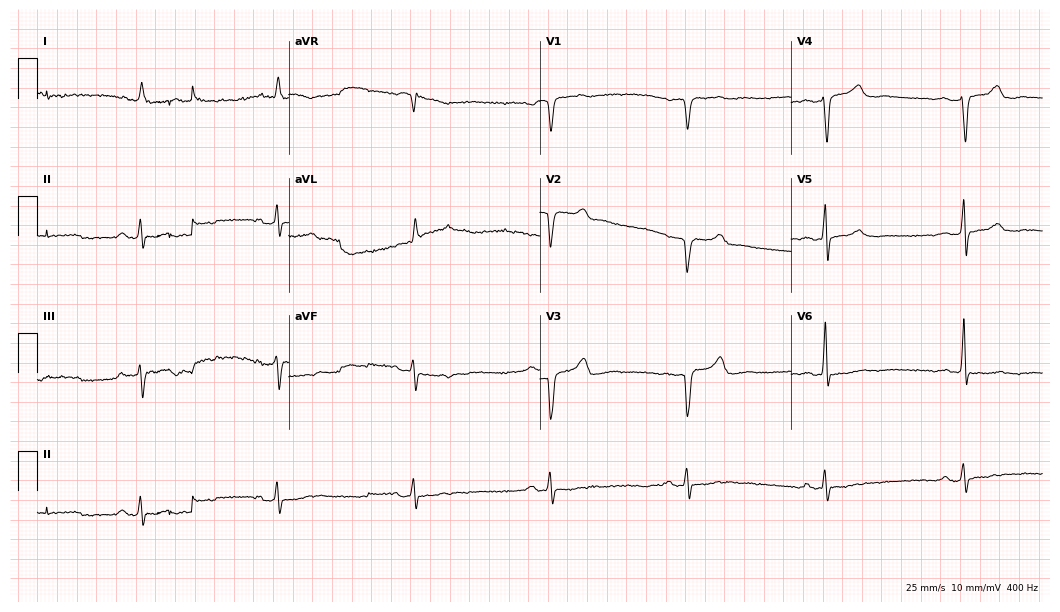
12-lead ECG from a male patient, 83 years old. No first-degree AV block, right bundle branch block, left bundle branch block, sinus bradycardia, atrial fibrillation or sinus tachycardia recorded for this tracing.